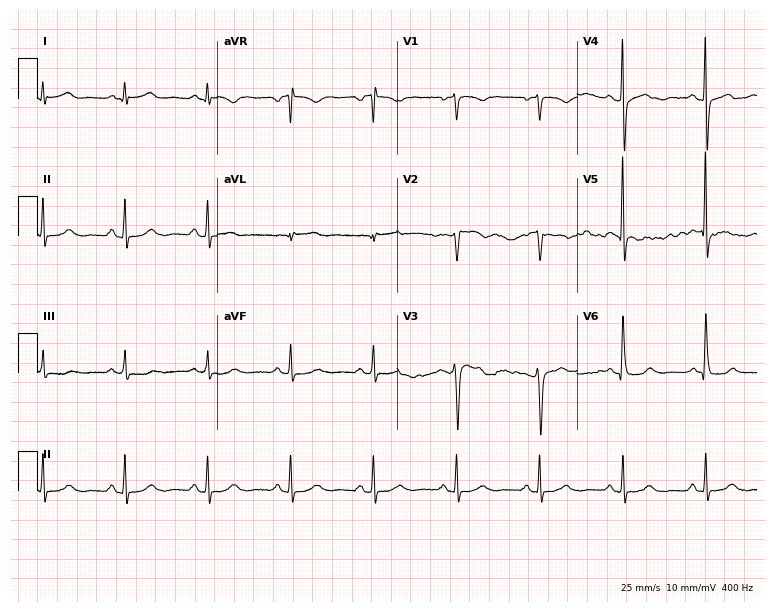
12-lead ECG from a woman, 67 years old (7.3-second recording at 400 Hz). No first-degree AV block, right bundle branch block (RBBB), left bundle branch block (LBBB), sinus bradycardia, atrial fibrillation (AF) or sinus tachycardia recorded for this tracing.